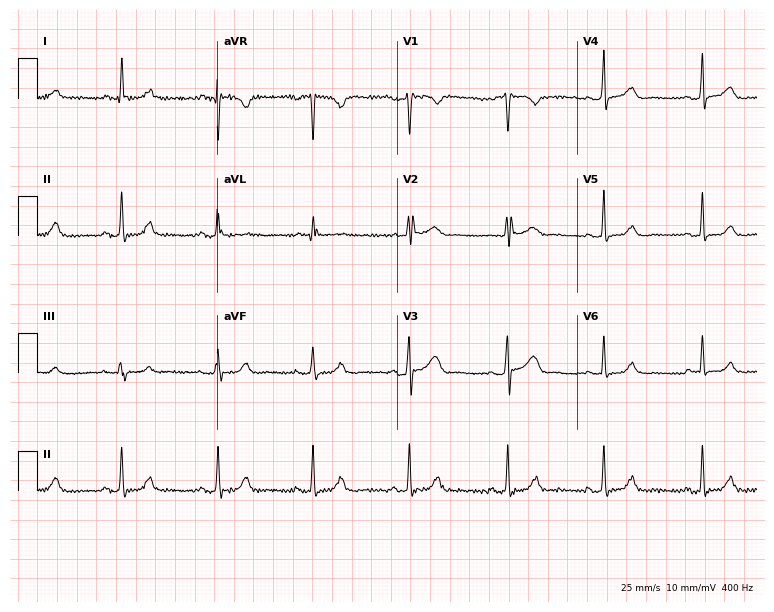
Resting 12-lead electrocardiogram (7.3-second recording at 400 Hz). Patient: a female, 56 years old. Read as a normal ECG.